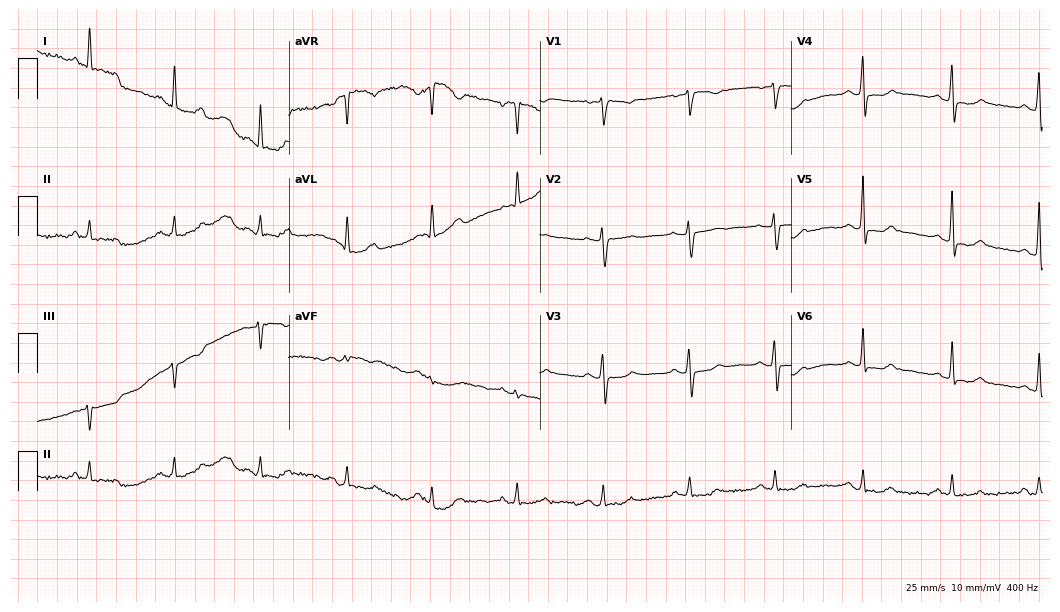
Standard 12-lead ECG recorded from a female, 61 years old (10.2-second recording at 400 Hz). None of these six findings is recorded: first-degree AV block, right bundle branch block, left bundle branch block, sinus bradycardia, atrial fibrillation, sinus tachycardia.